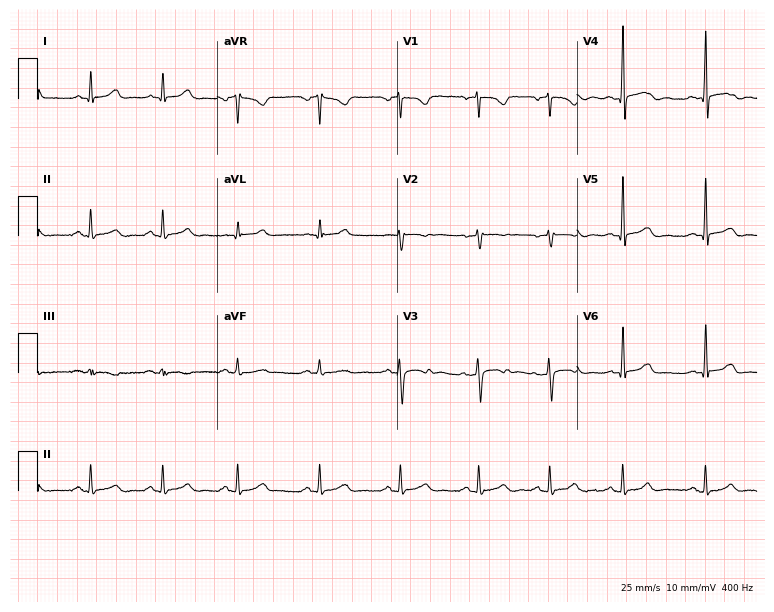
12-lead ECG from a woman, 38 years old. Screened for six findings — first-degree AV block, right bundle branch block, left bundle branch block, sinus bradycardia, atrial fibrillation, sinus tachycardia — none is recorded.